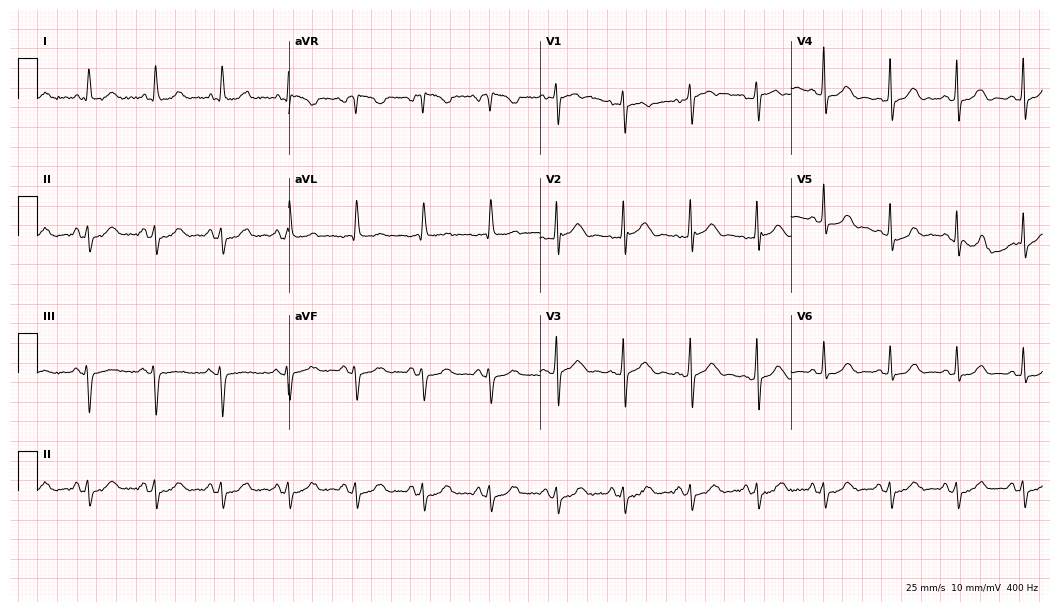
ECG — a 76-year-old woman. Screened for six findings — first-degree AV block, right bundle branch block, left bundle branch block, sinus bradycardia, atrial fibrillation, sinus tachycardia — none is recorded. Other findings, if any, are not listed.